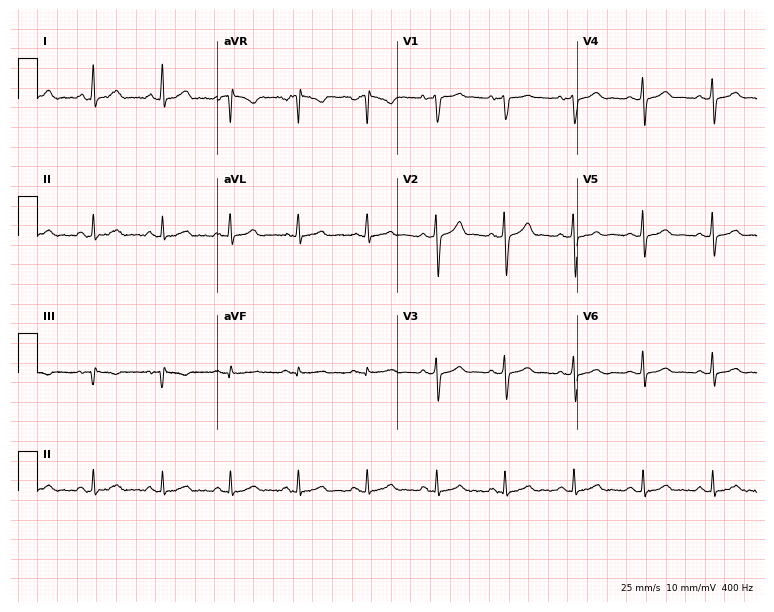
Resting 12-lead electrocardiogram (7.3-second recording at 400 Hz). Patient: a male, 31 years old. Read as a normal ECG.